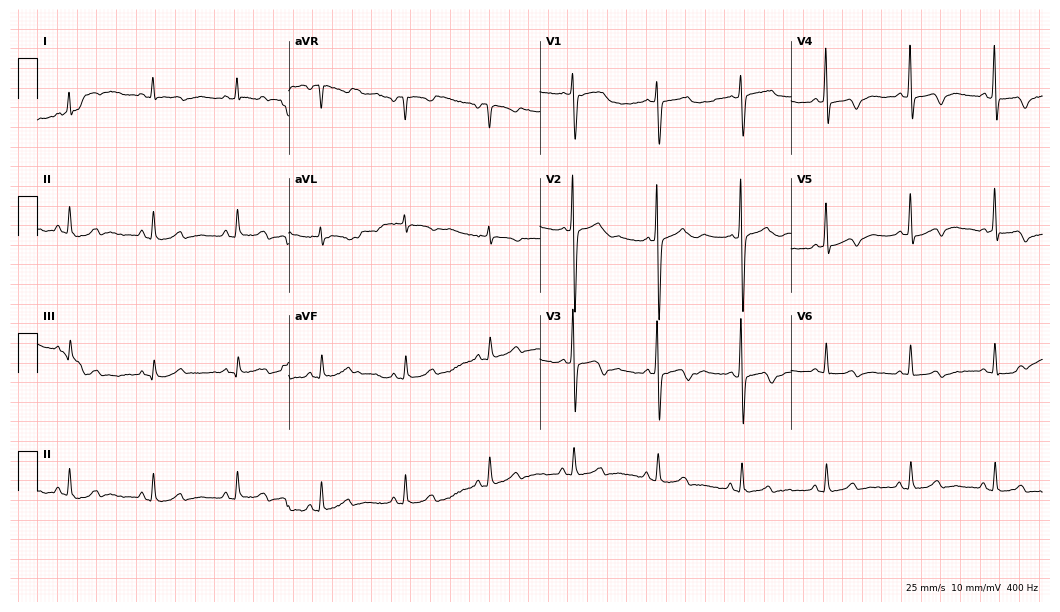
12-lead ECG from an 81-year-old female patient. No first-degree AV block, right bundle branch block, left bundle branch block, sinus bradycardia, atrial fibrillation or sinus tachycardia recorded for this tracing. Findings outside these six are not listed.